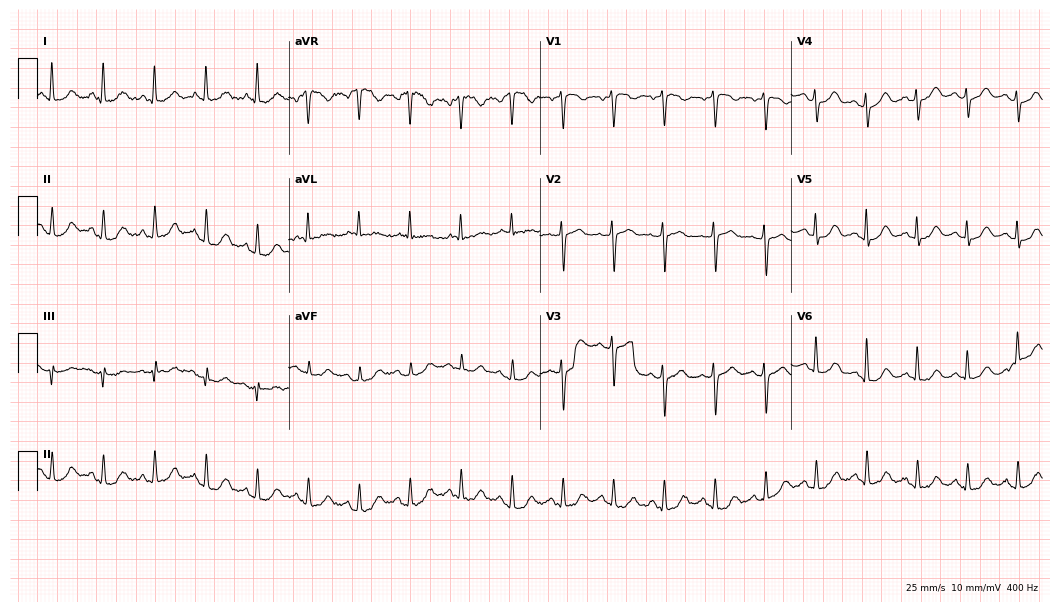
12-lead ECG (10.2-second recording at 400 Hz) from a female, 80 years old. Findings include sinus tachycardia (a sinus rate of 100 beats per minute or more).